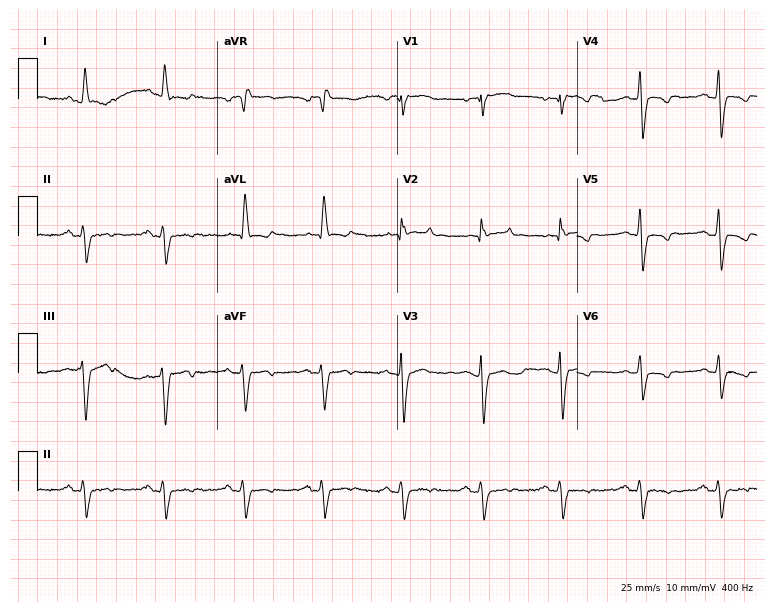
Standard 12-lead ECG recorded from a male patient, 70 years old. The tracing shows right bundle branch block.